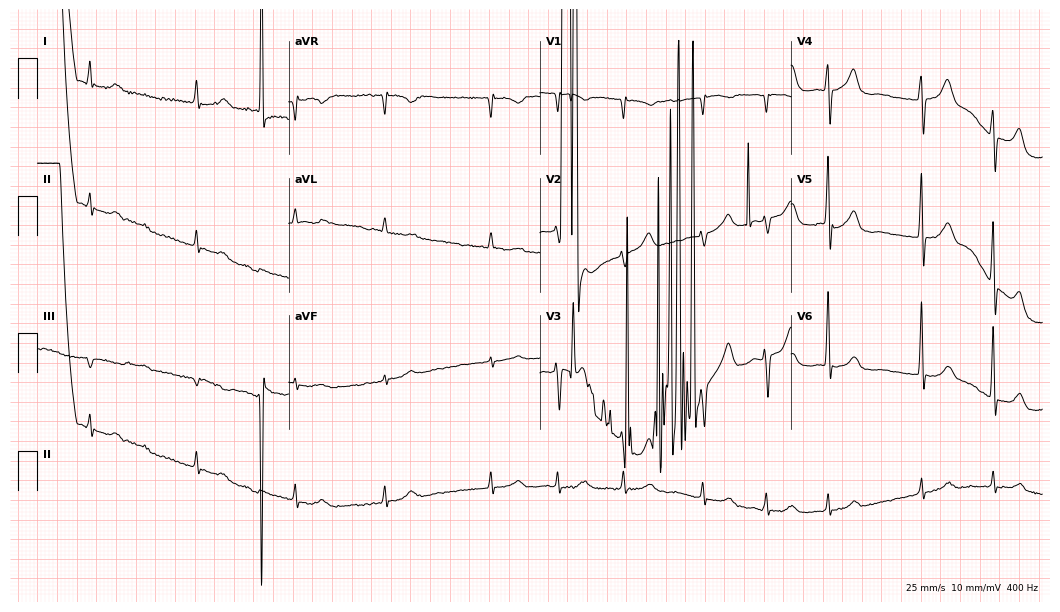
12-lead ECG from a male patient, 78 years old. Findings include atrial fibrillation.